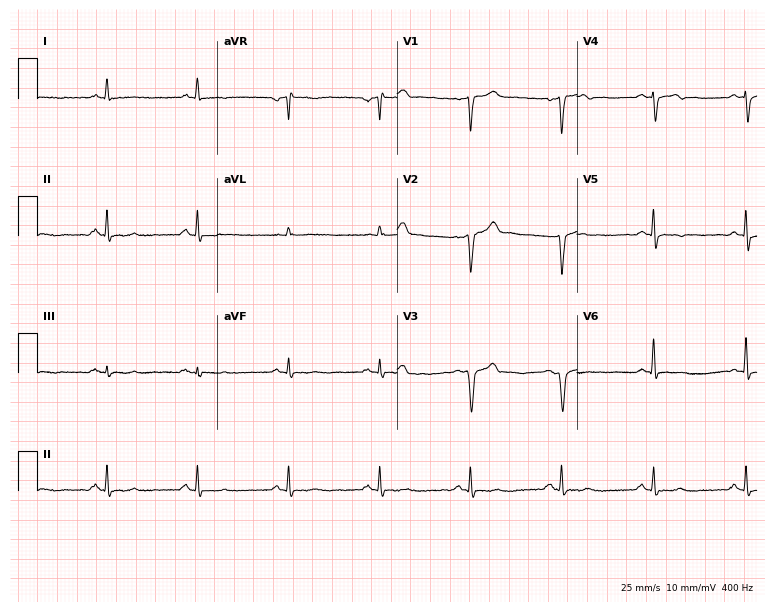
Resting 12-lead electrocardiogram. Patient: a 59-year-old male. None of these six findings is recorded: first-degree AV block, right bundle branch block, left bundle branch block, sinus bradycardia, atrial fibrillation, sinus tachycardia.